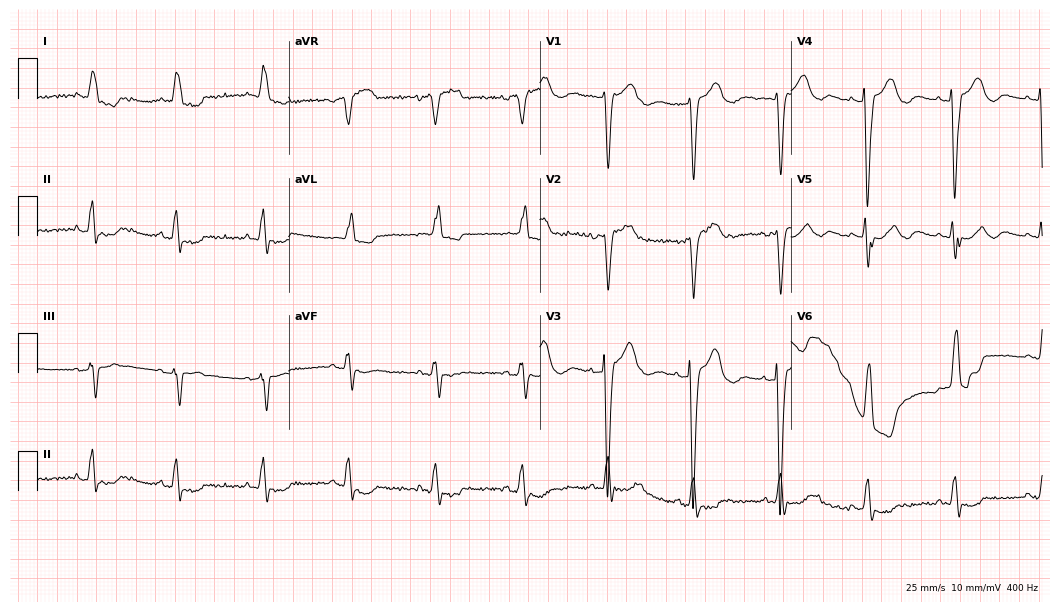
Resting 12-lead electrocardiogram. Patient: an 84-year-old woman. The tracing shows left bundle branch block.